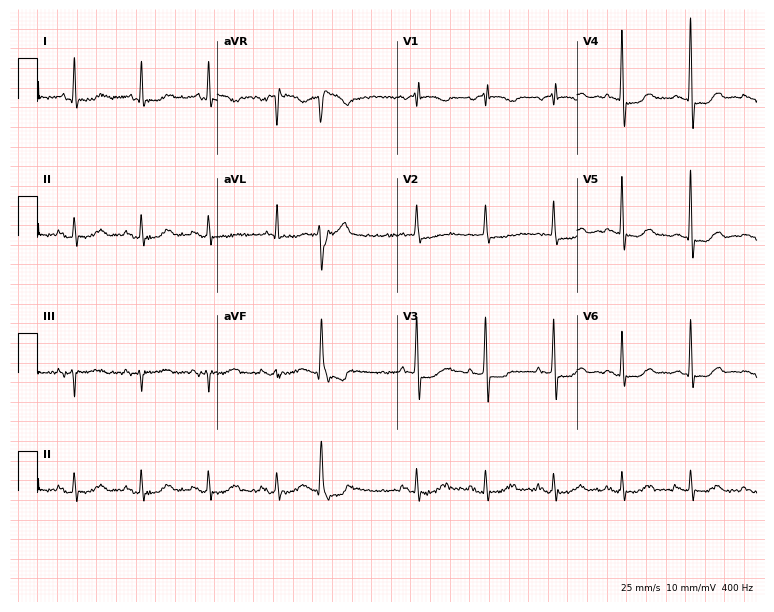
Resting 12-lead electrocardiogram. Patient: a female, 71 years old. None of these six findings is recorded: first-degree AV block, right bundle branch block, left bundle branch block, sinus bradycardia, atrial fibrillation, sinus tachycardia.